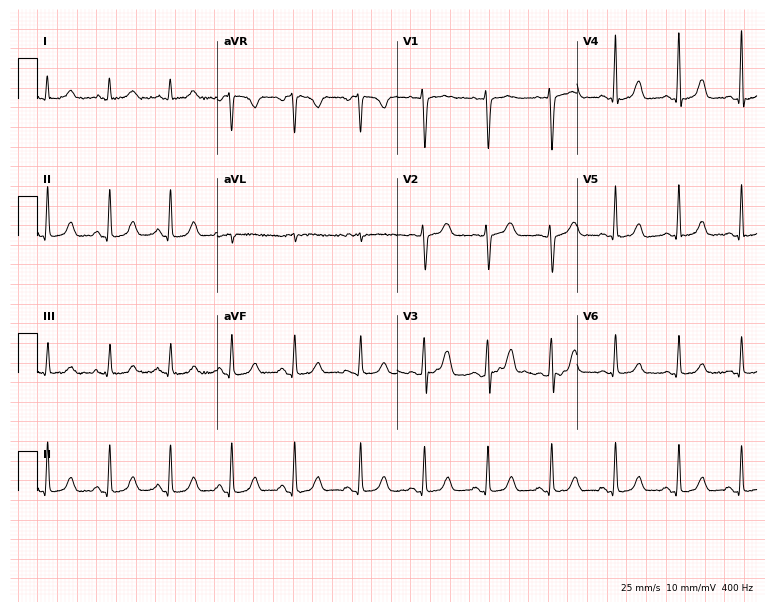
12-lead ECG from a 52-year-old female (7.3-second recording at 400 Hz). Recorded interpretation: within normal limits.